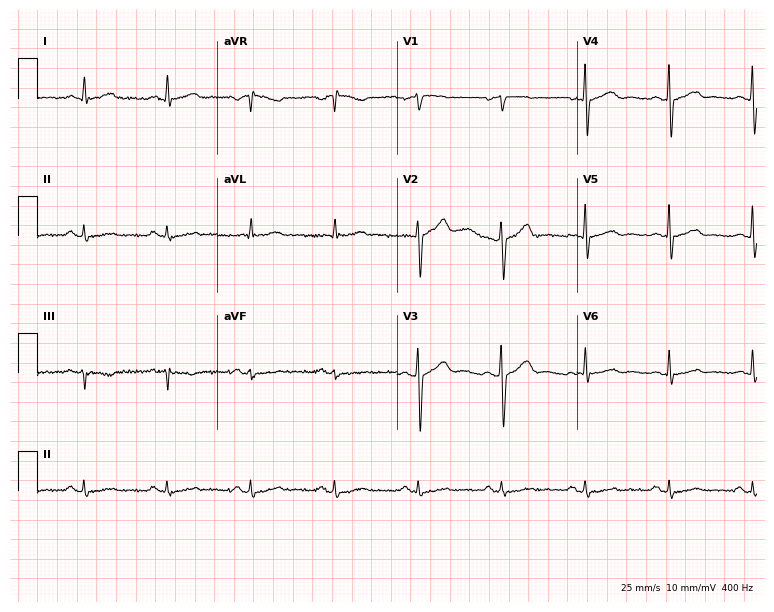
Standard 12-lead ECG recorded from a male patient, 70 years old. None of these six findings is recorded: first-degree AV block, right bundle branch block (RBBB), left bundle branch block (LBBB), sinus bradycardia, atrial fibrillation (AF), sinus tachycardia. Other findings, if any, are not listed.